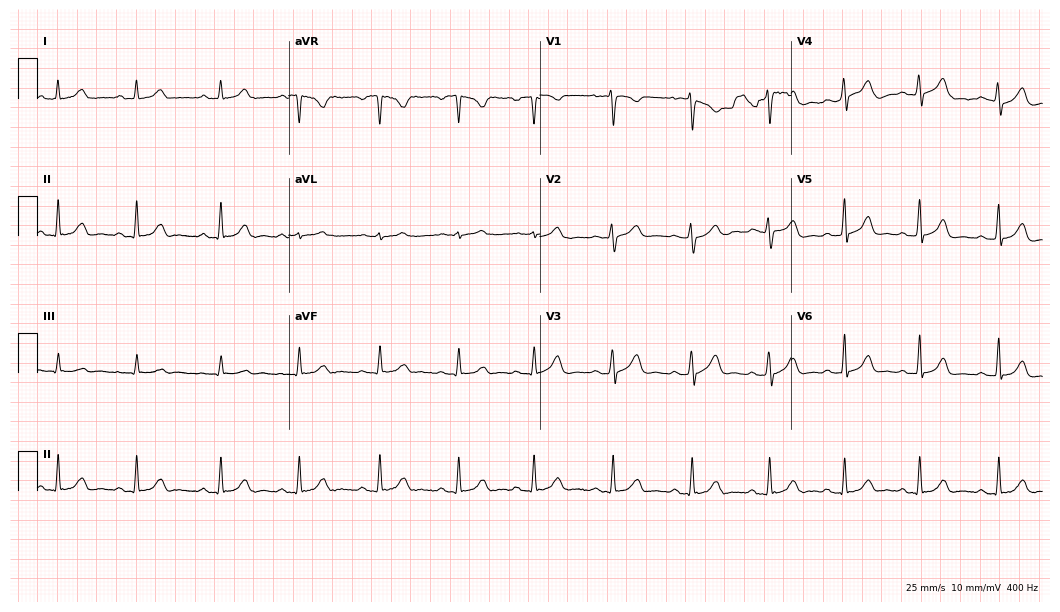
12-lead ECG (10.2-second recording at 400 Hz) from a 29-year-old female. Labelled as a normal ECG.